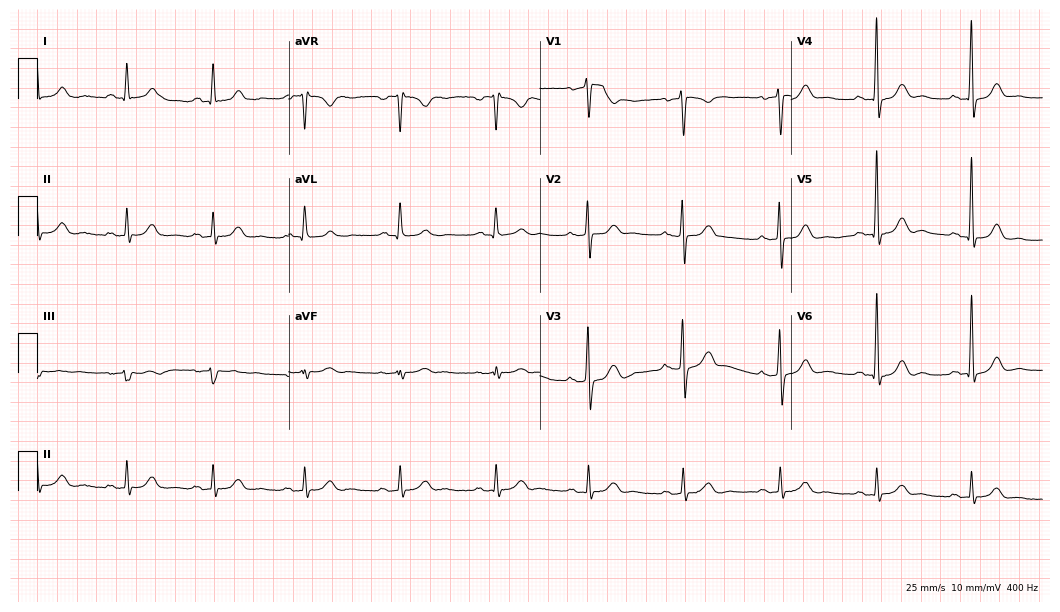
Standard 12-lead ECG recorded from a male patient, 50 years old. Read as a normal ECG.